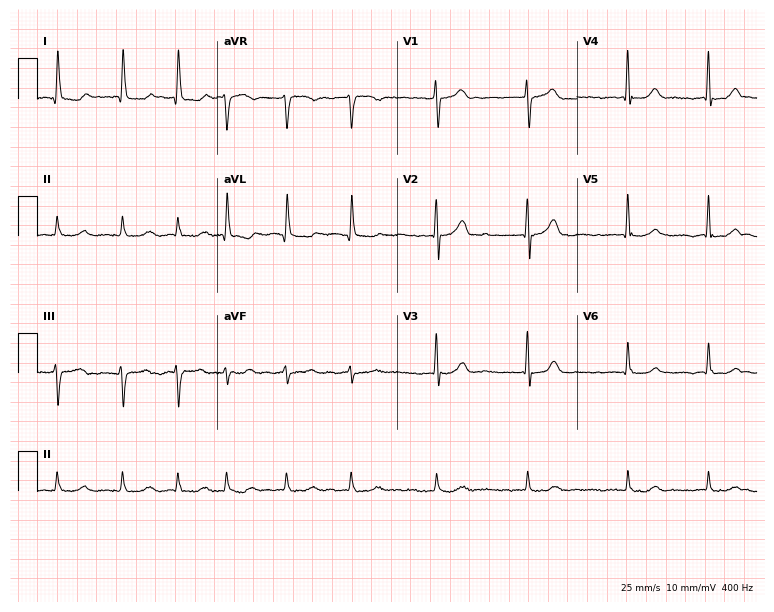
Standard 12-lead ECG recorded from a woman, 67 years old (7.3-second recording at 400 Hz). The tracing shows atrial fibrillation.